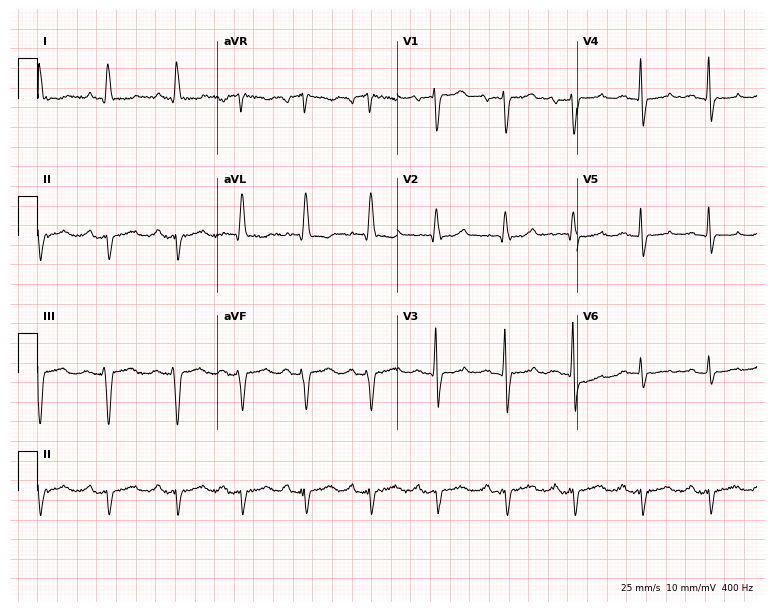
Resting 12-lead electrocardiogram (7.3-second recording at 400 Hz). Patient: a woman, 60 years old. The tracing shows first-degree AV block.